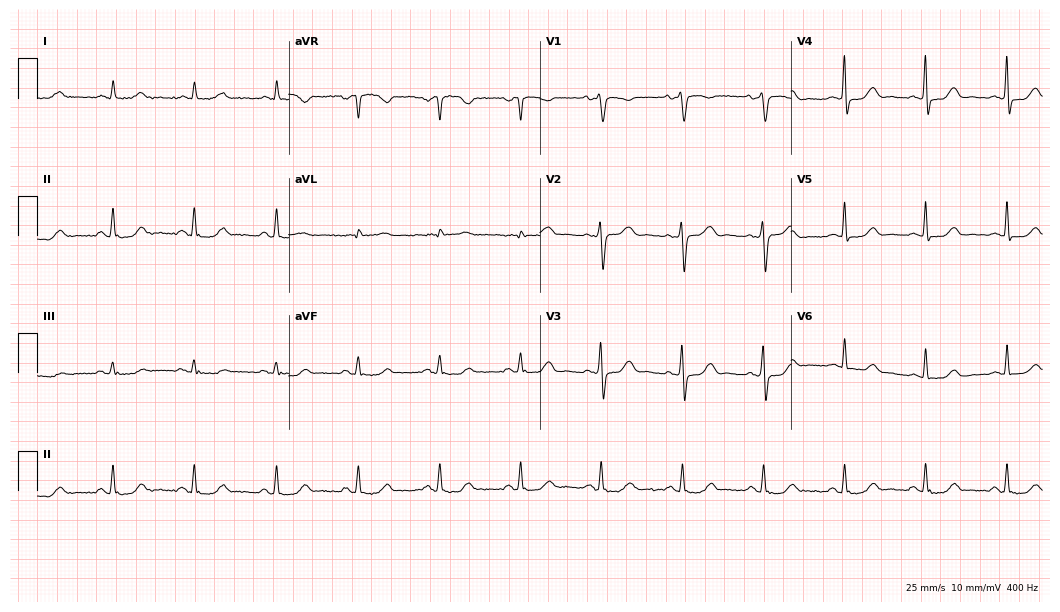
12-lead ECG from a woman, 71 years old (10.2-second recording at 400 Hz). No first-degree AV block, right bundle branch block, left bundle branch block, sinus bradycardia, atrial fibrillation or sinus tachycardia recorded for this tracing.